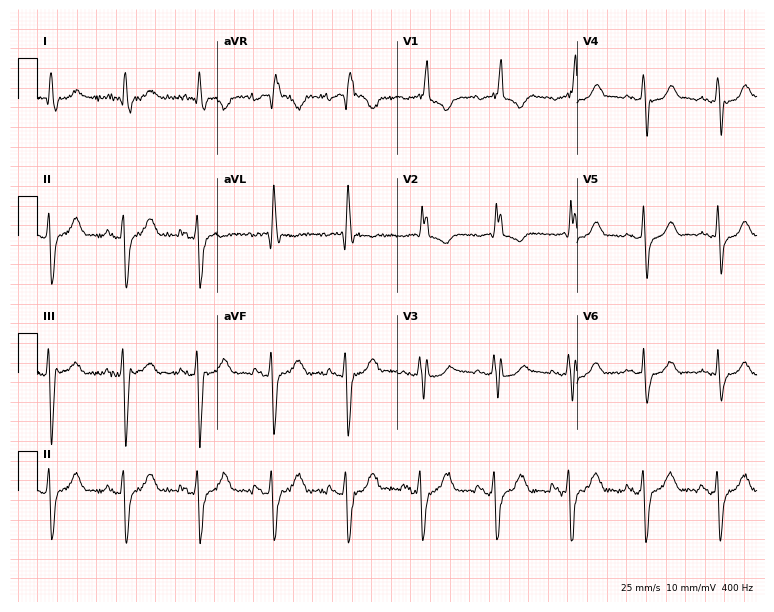
Resting 12-lead electrocardiogram (7.3-second recording at 400 Hz). Patient: a female, 82 years old. The tracing shows right bundle branch block (RBBB).